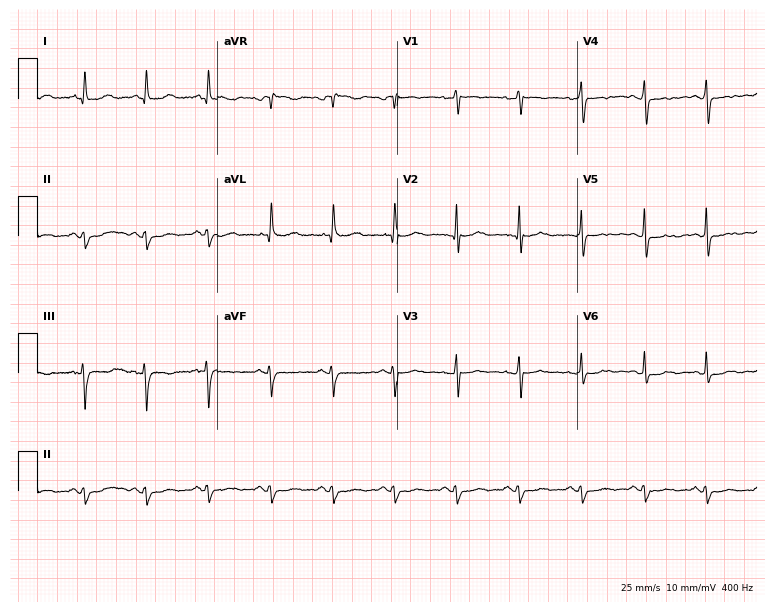
12-lead ECG (7.3-second recording at 400 Hz) from a female, 76 years old. Screened for six findings — first-degree AV block, right bundle branch block, left bundle branch block, sinus bradycardia, atrial fibrillation, sinus tachycardia — none is recorded. Findings outside these six are not listed.